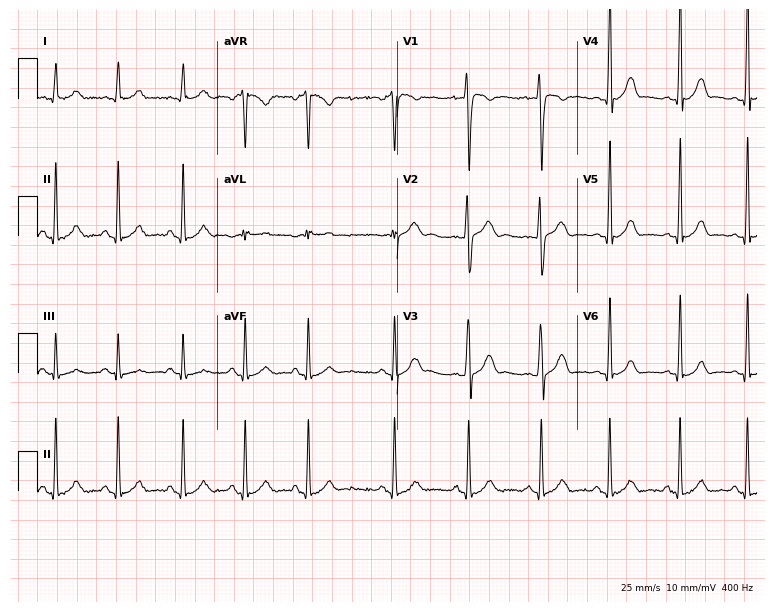
Electrocardiogram (7.3-second recording at 400 Hz), a 20-year-old male patient. Overall reading on record: normal ECG.